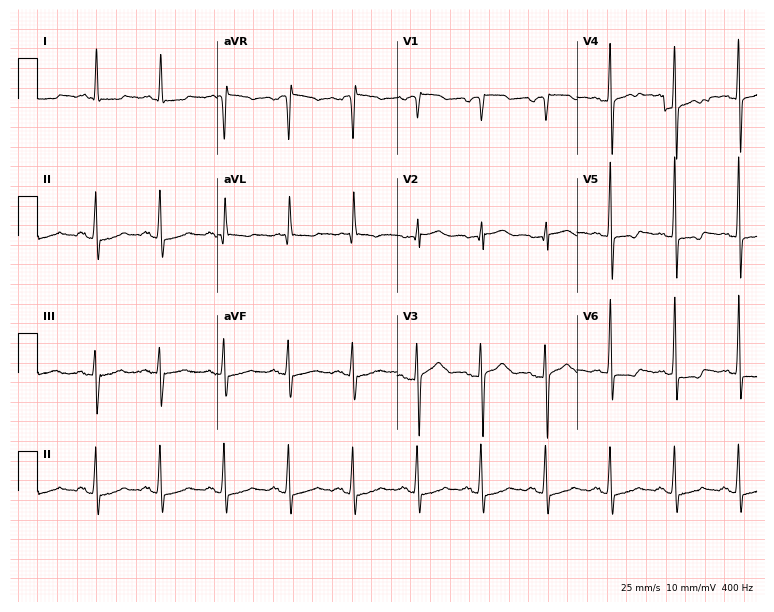
Resting 12-lead electrocardiogram. Patient: a female, 66 years old. None of these six findings is recorded: first-degree AV block, right bundle branch block, left bundle branch block, sinus bradycardia, atrial fibrillation, sinus tachycardia. Findings outside these six are not listed.